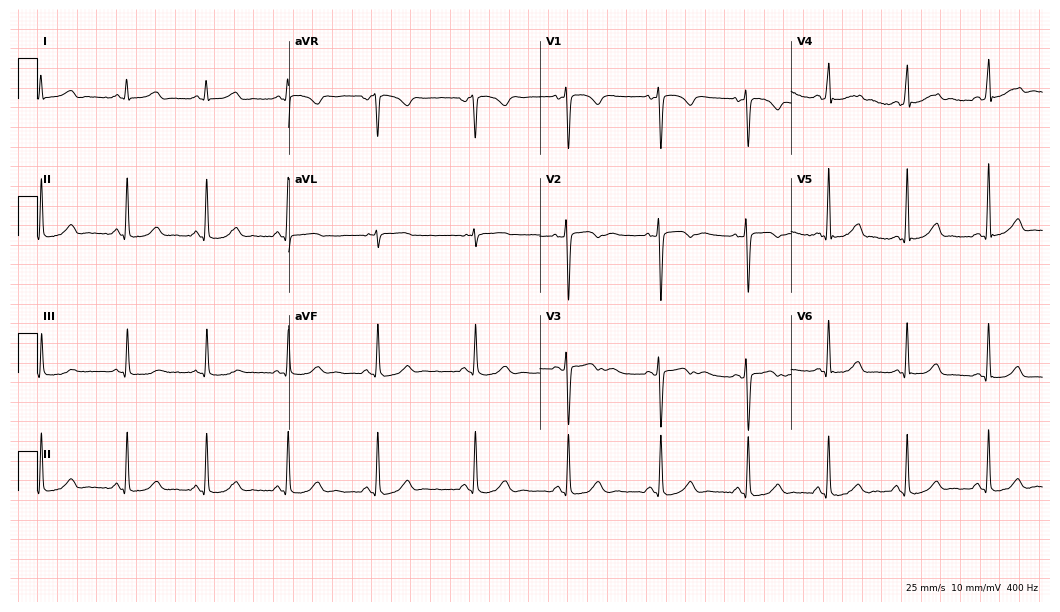
12-lead ECG (10.2-second recording at 400 Hz) from a female, 24 years old. Labelled as a normal ECG.